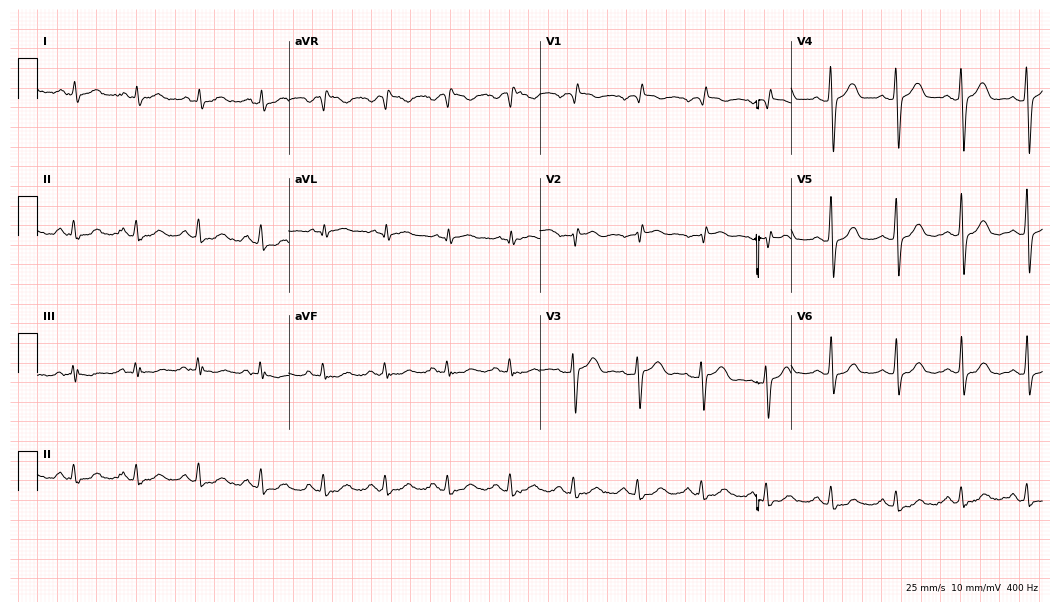
ECG — a female patient, 49 years old. Screened for six findings — first-degree AV block, right bundle branch block, left bundle branch block, sinus bradycardia, atrial fibrillation, sinus tachycardia — none is recorded. Only these six findings were labelled.